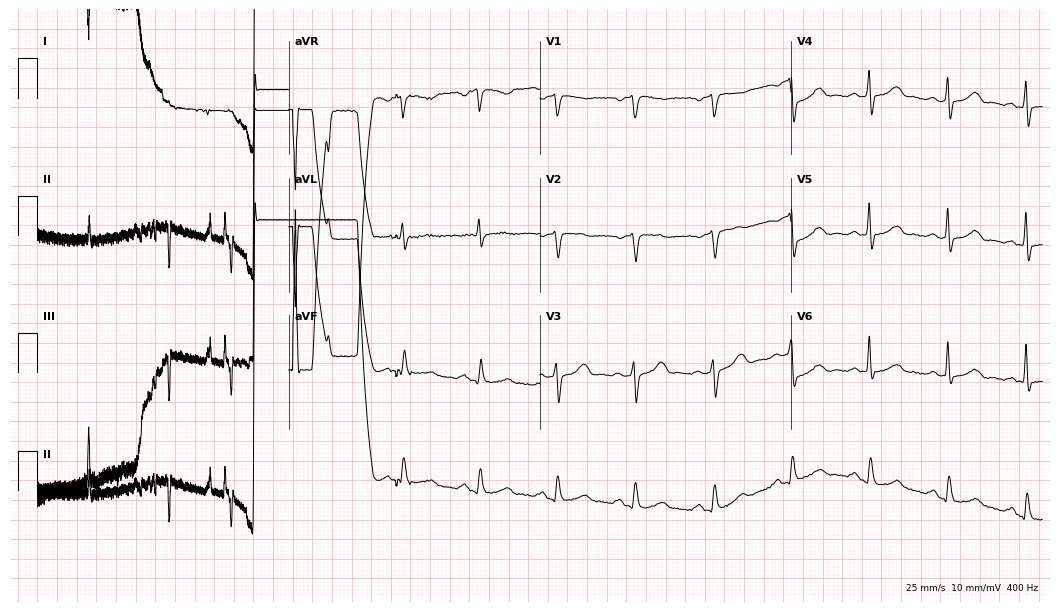
Electrocardiogram, a male patient, 67 years old. Of the six screened findings (first-degree AV block, right bundle branch block (RBBB), left bundle branch block (LBBB), sinus bradycardia, atrial fibrillation (AF), sinus tachycardia), none is recorded. Only these six findings were labelled.